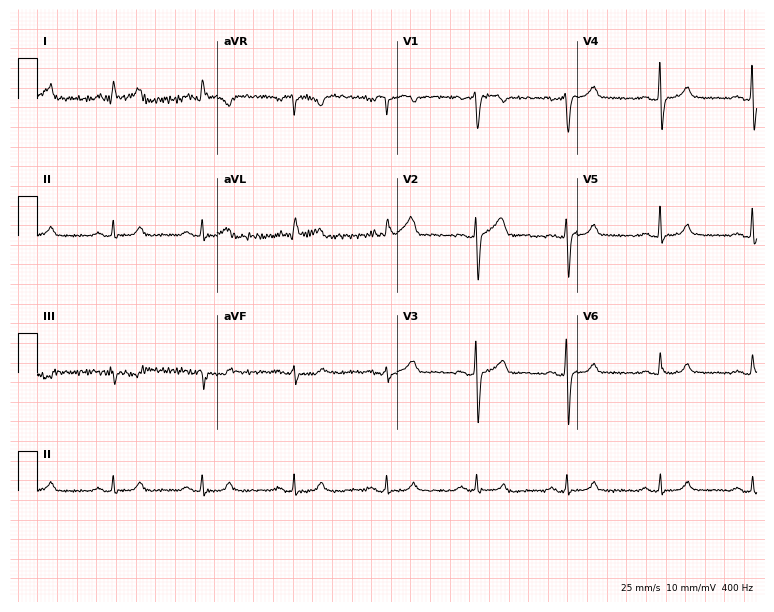
Resting 12-lead electrocardiogram. Patient: a 54-year-old man. Read as a normal ECG.